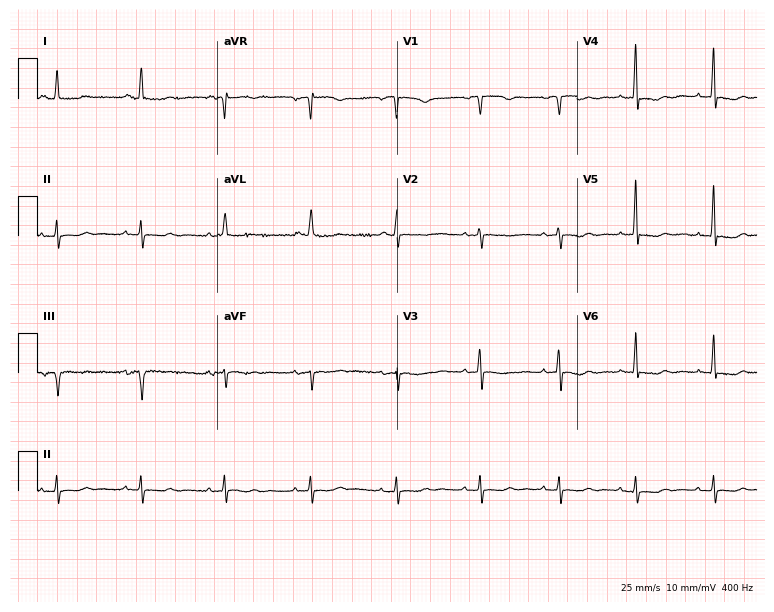
Resting 12-lead electrocardiogram. Patient: a female, 84 years old. Read as a normal ECG.